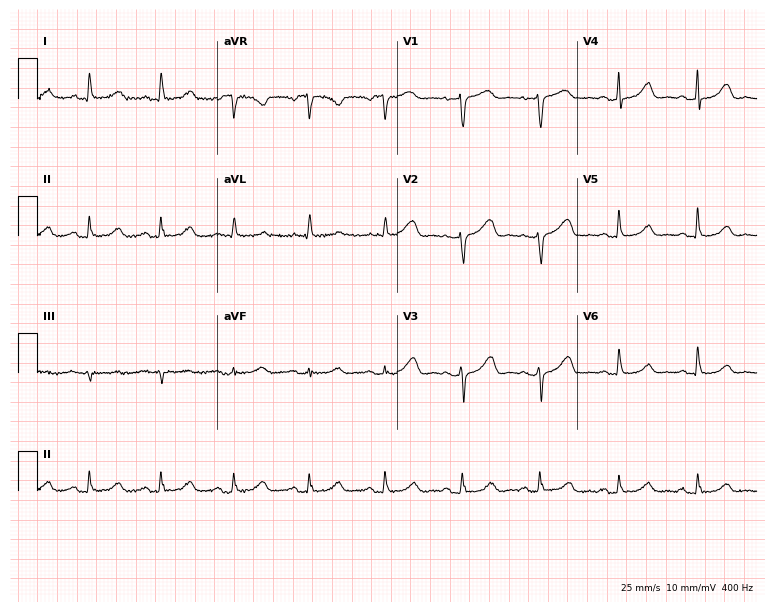
12-lead ECG (7.3-second recording at 400 Hz) from a woman, 71 years old. Screened for six findings — first-degree AV block, right bundle branch block, left bundle branch block, sinus bradycardia, atrial fibrillation, sinus tachycardia — none is recorded.